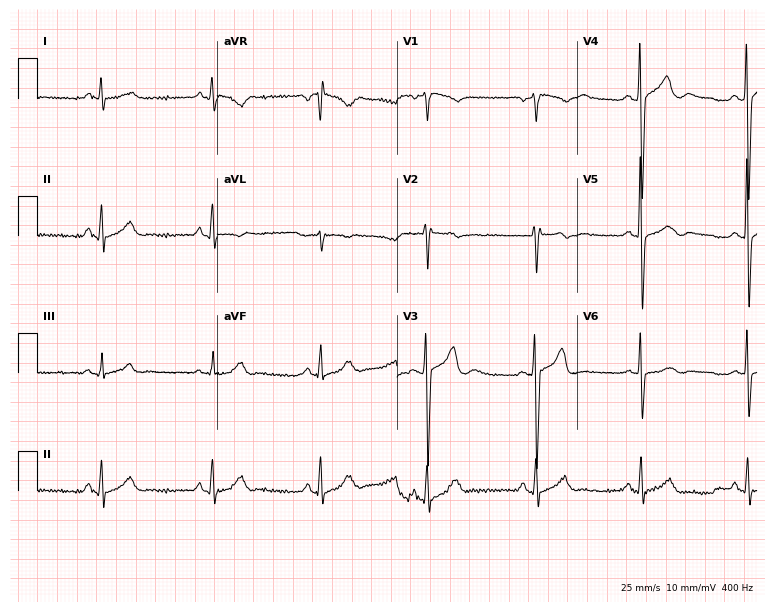
Standard 12-lead ECG recorded from a male patient, 48 years old (7.3-second recording at 400 Hz). Read as a normal ECG.